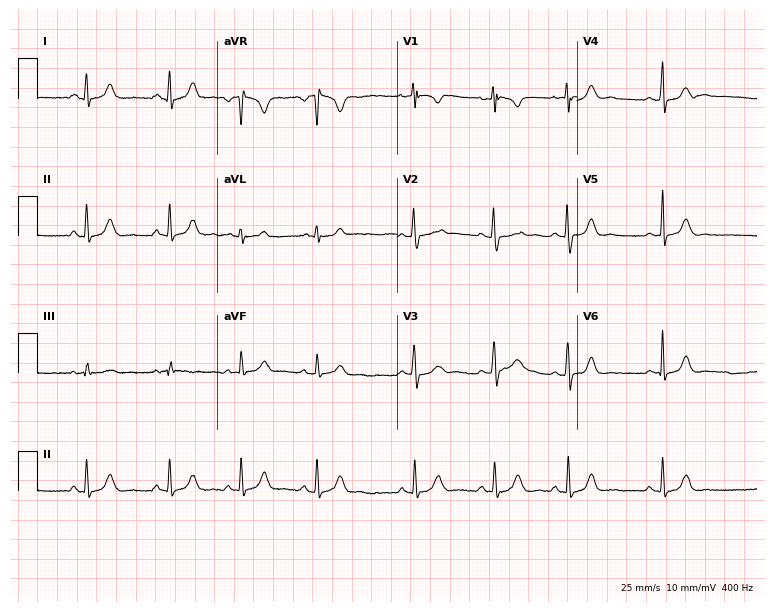
Standard 12-lead ECG recorded from a 21-year-old woman (7.3-second recording at 400 Hz). Read as a normal ECG.